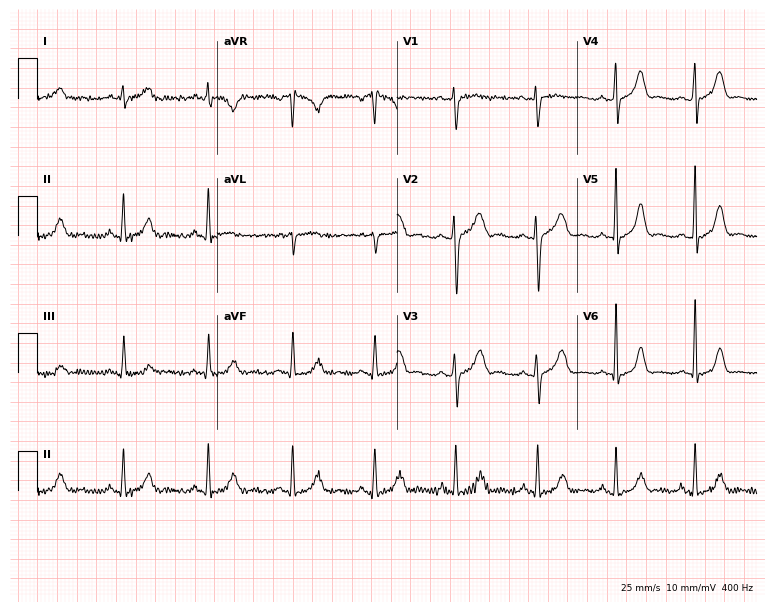
Standard 12-lead ECG recorded from a woman, 29 years old (7.3-second recording at 400 Hz). Read as a normal ECG.